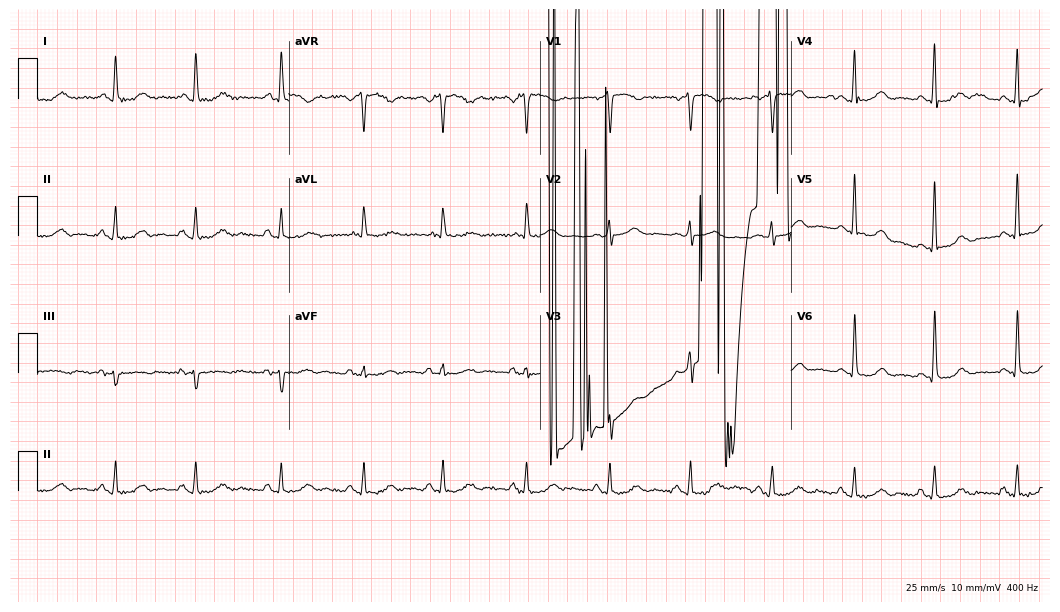
12-lead ECG from a female patient, 40 years old. No first-degree AV block, right bundle branch block, left bundle branch block, sinus bradycardia, atrial fibrillation or sinus tachycardia recorded for this tracing.